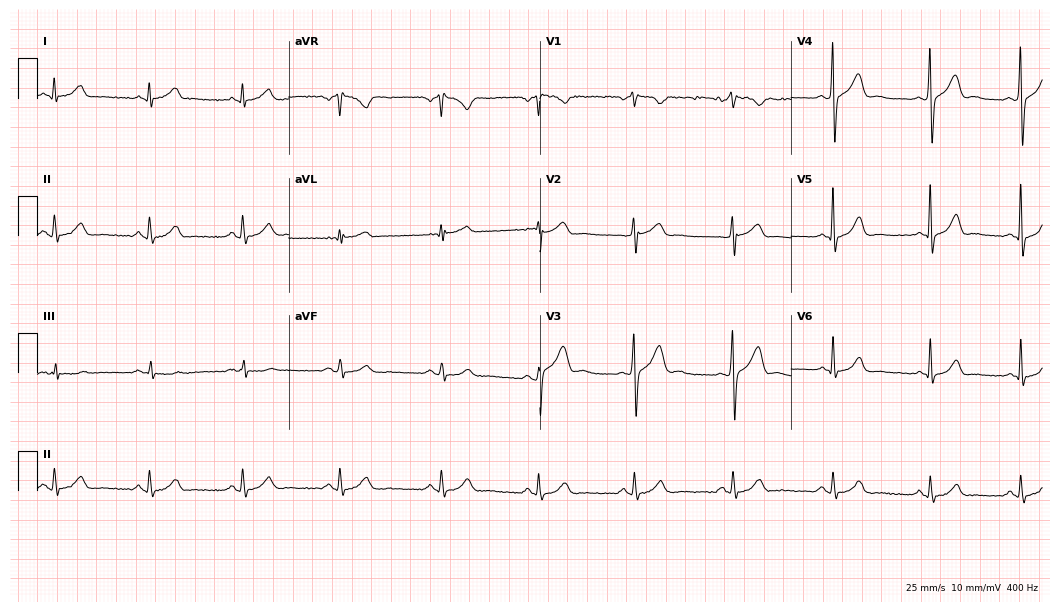
ECG — a 40-year-old male patient. Screened for six findings — first-degree AV block, right bundle branch block (RBBB), left bundle branch block (LBBB), sinus bradycardia, atrial fibrillation (AF), sinus tachycardia — none is recorded.